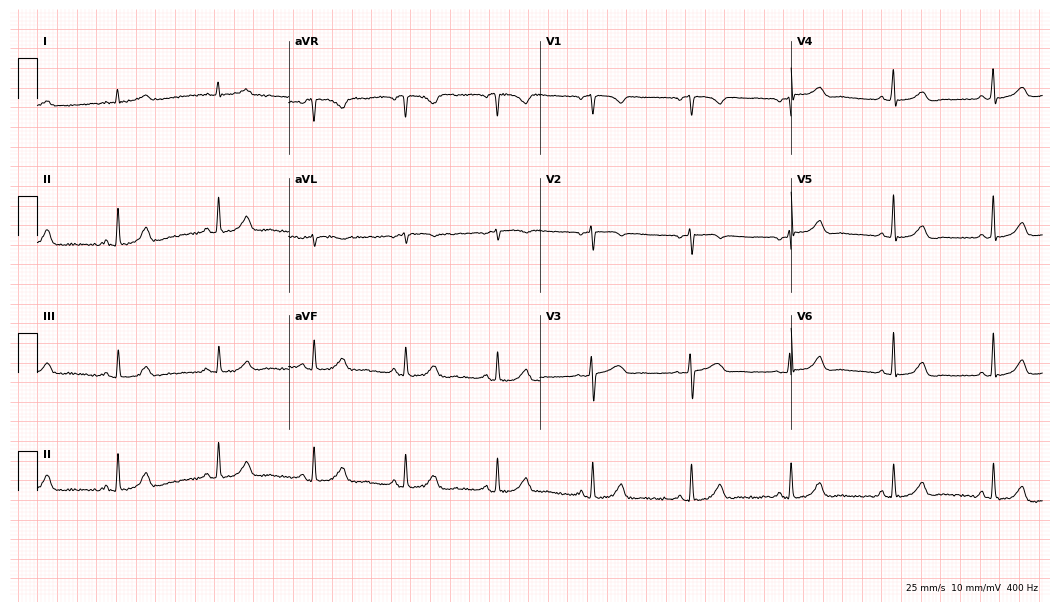
Resting 12-lead electrocardiogram. Patient: a female, 45 years old. Read as a normal ECG.